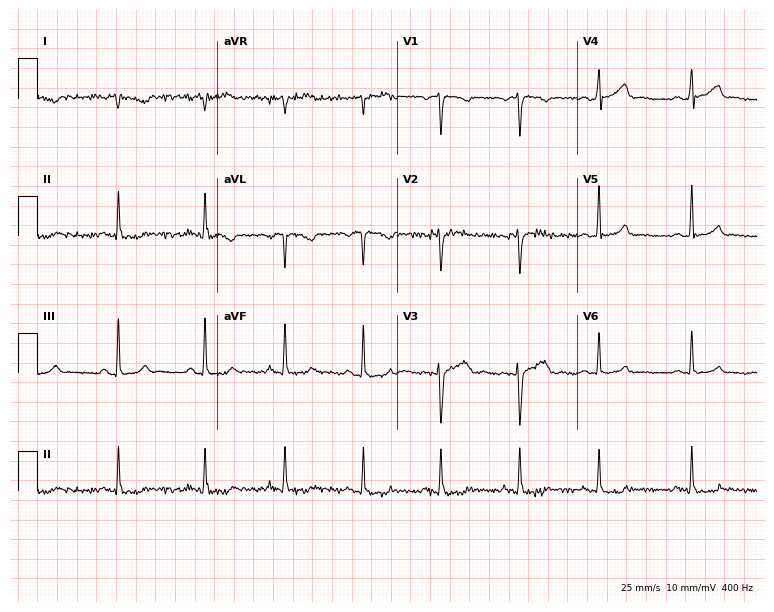
12-lead ECG from a 32-year-old female. No first-degree AV block, right bundle branch block, left bundle branch block, sinus bradycardia, atrial fibrillation or sinus tachycardia recorded for this tracing.